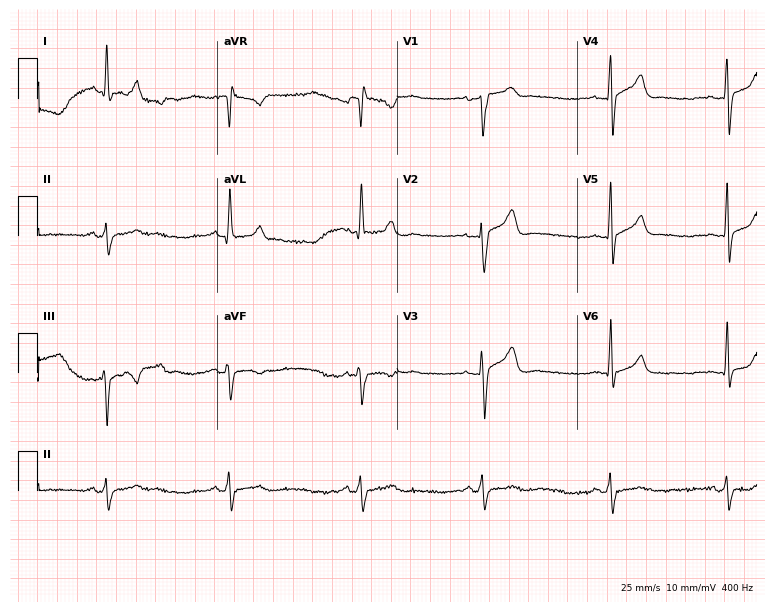
Resting 12-lead electrocardiogram (7.3-second recording at 400 Hz). Patient: a 41-year-old male. The tracing shows sinus bradycardia (a sinus rate of 50 beats per minute or less).